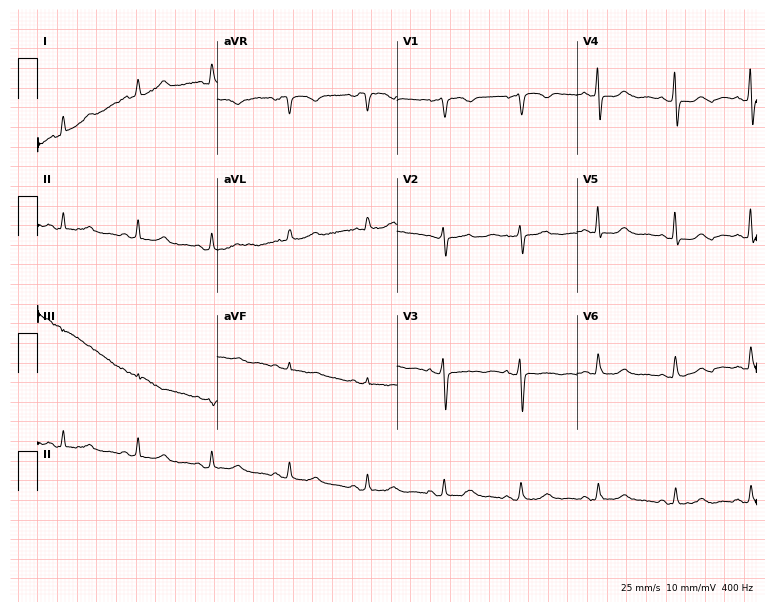
Resting 12-lead electrocardiogram (7.3-second recording at 400 Hz). Patient: a 69-year-old female. None of these six findings is recorded: first-degree AV block, right bundle branch block (RBBB), left bundle branch block (LBBB), sinus bradycardia, atrial fibrillation (AF), sinus tachycardia.